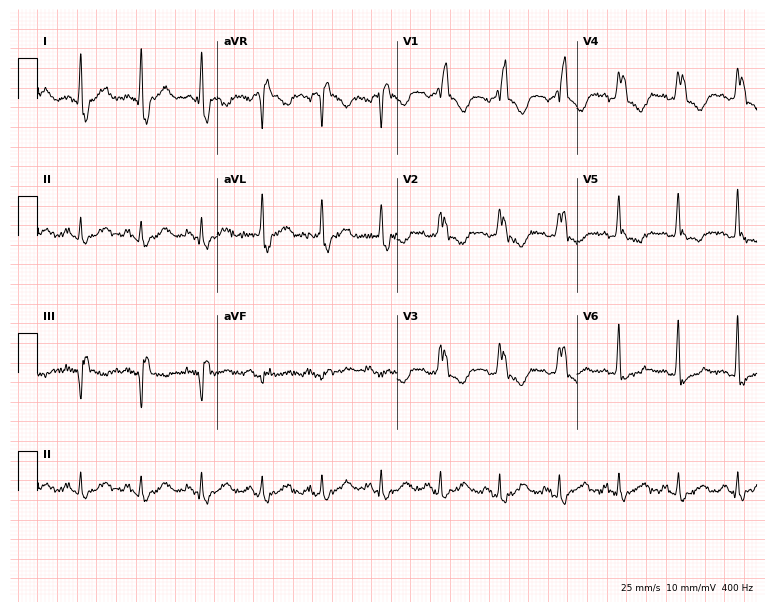
Resting 12-lead electrocardiogram. Patient: a woman, 72 years old. The tracing shows right bundle branch block.